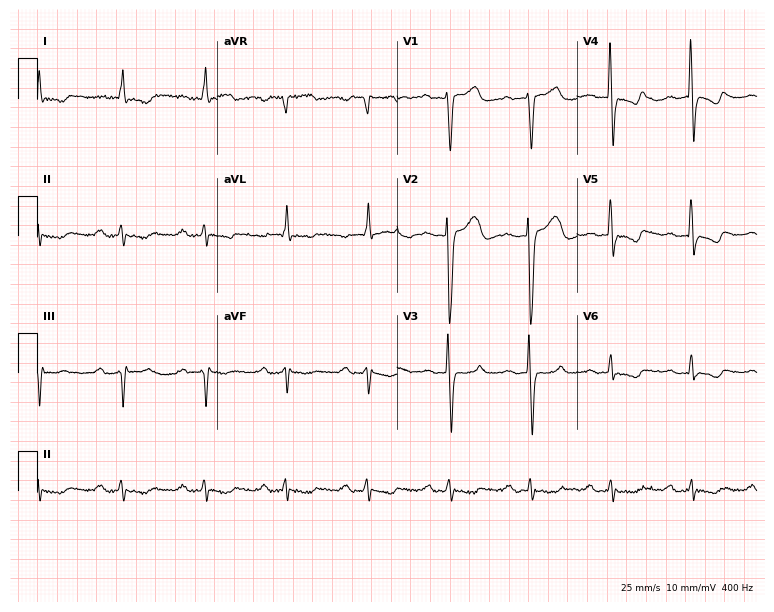
12-lead ECG (7.3-second recording at 400 Hz) from a 64-year-old man. Screened for six findings — first-degree AV block, right bundle branch block, left bundle branch block, sinus bradycardia, atrial fibrillation, sinus tachycardia — none is recorded.